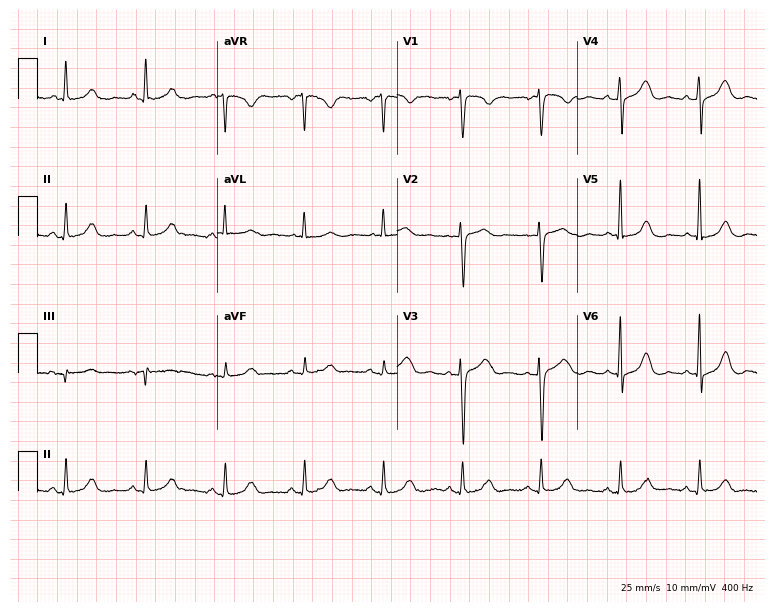
ECG — a female patient, 61 years old. Labelled as a normal ECG.